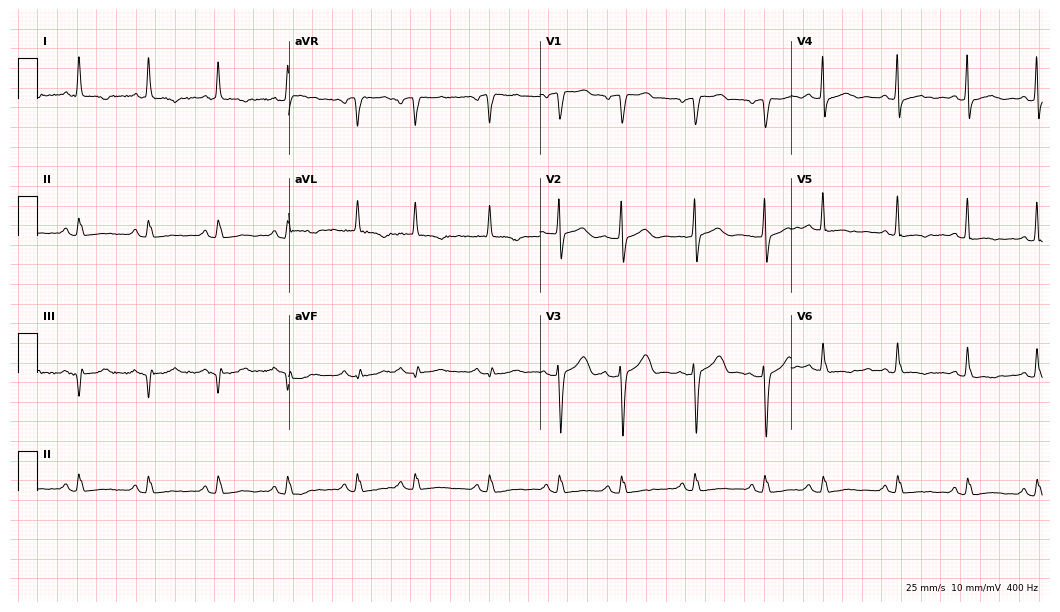
12-lead ECG from a woman, 70 years old (10.2-second recording at 400 Hz). No first-degree AV block, right bundle branch block (RBBB), left bundle branch block (LBBB), sinus bradycardia, atrial fibrillation (AF) or sinus tachycardia recorded for this tracing. Only these six findings were labelled.